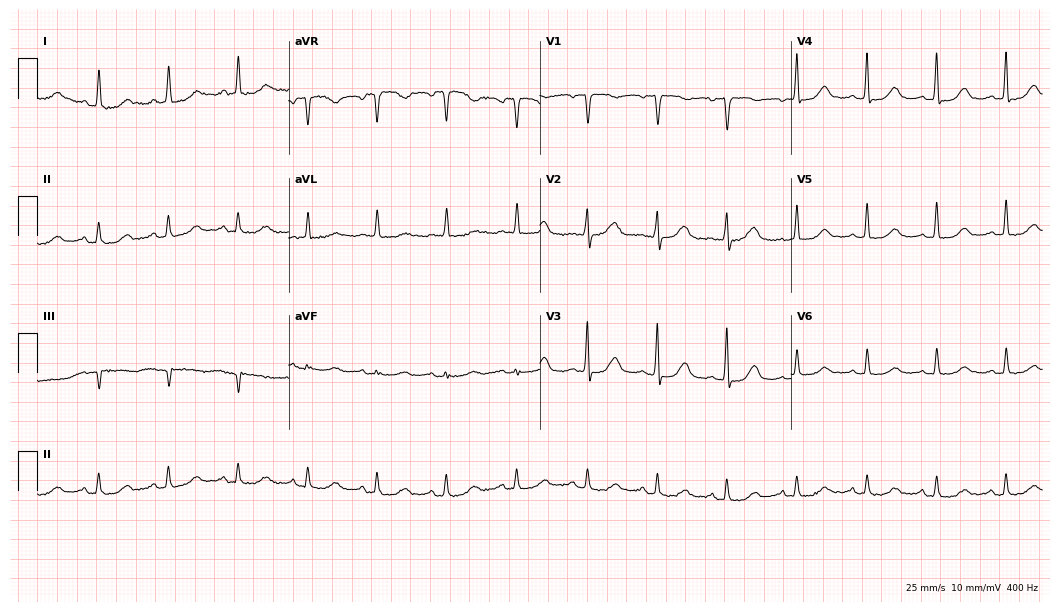
ECG (10.2-second recording at 400 Hz) — a woman, 70 years old. Screened for six findings — first-degree AV block, right bundle branch block, left bundle branch block, sinus bradycardia, atrial fibrillation, sinus tachycardia — none is recorded.